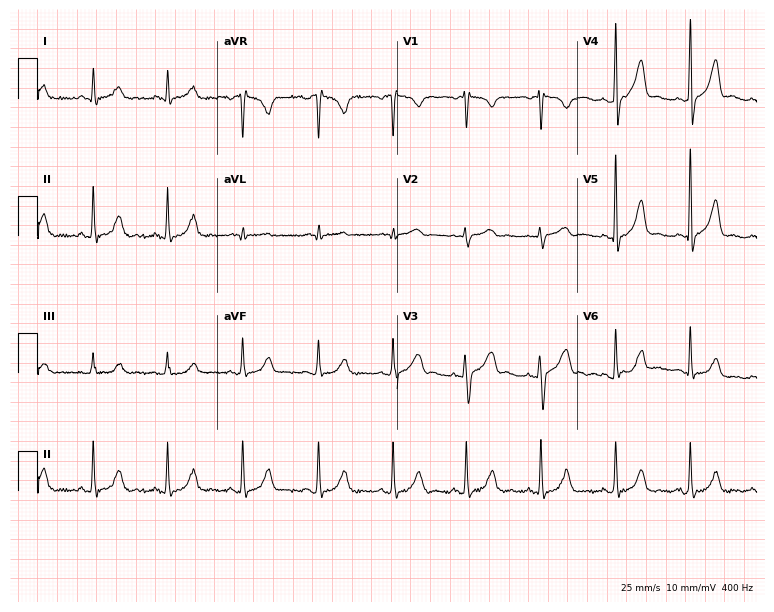
Electrocardiogram, a 46-year-old female patient. Overall reading on record: normal ECG.